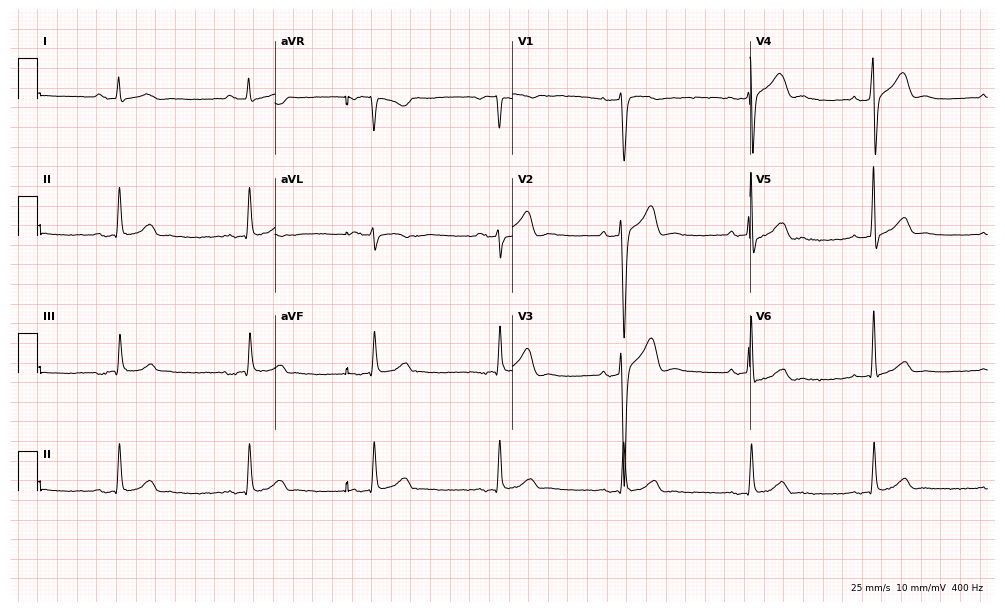
Resting 12-lead electrocardiogram. Patient: a male, 59 years old. The tracing shows first-degree AV block.